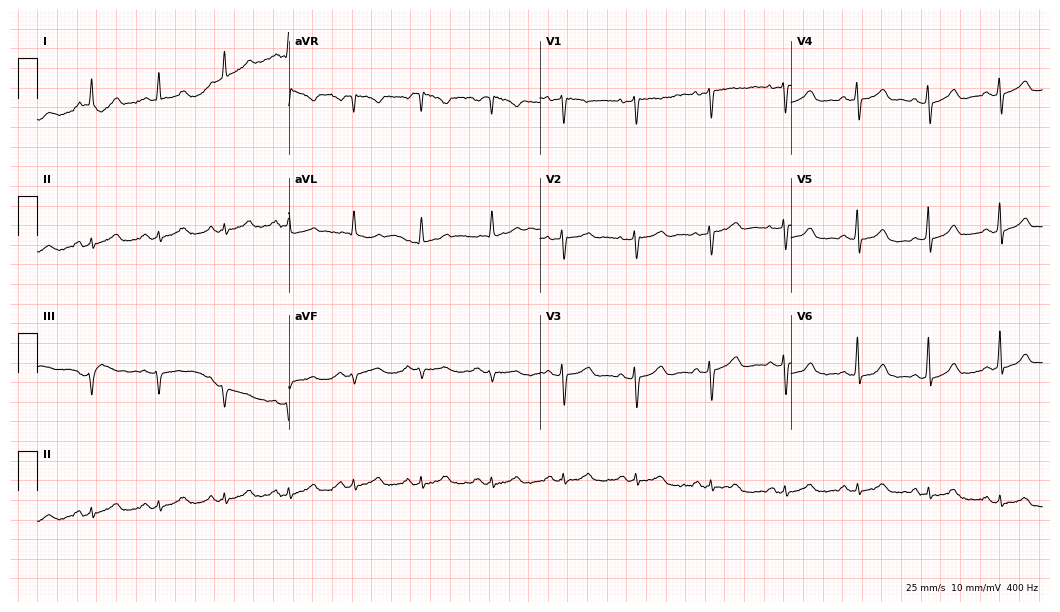
ECG (10.2-second recording at 400 Hz) — a female, 46 years old. Labelled as a normal ECG.